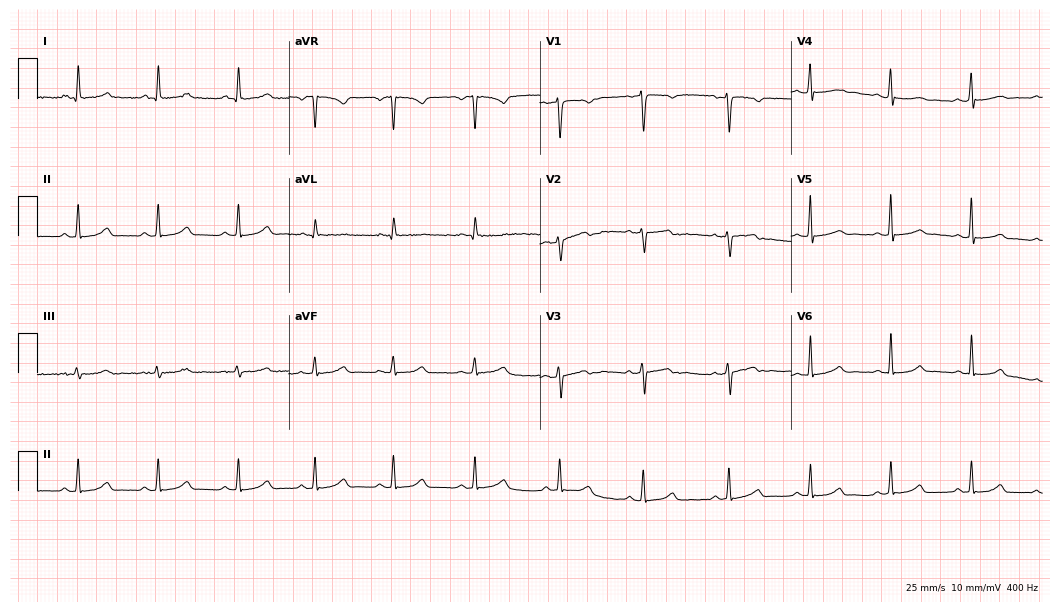
ECG — a female patient, 32 years old. Labelled as a normal ECG.